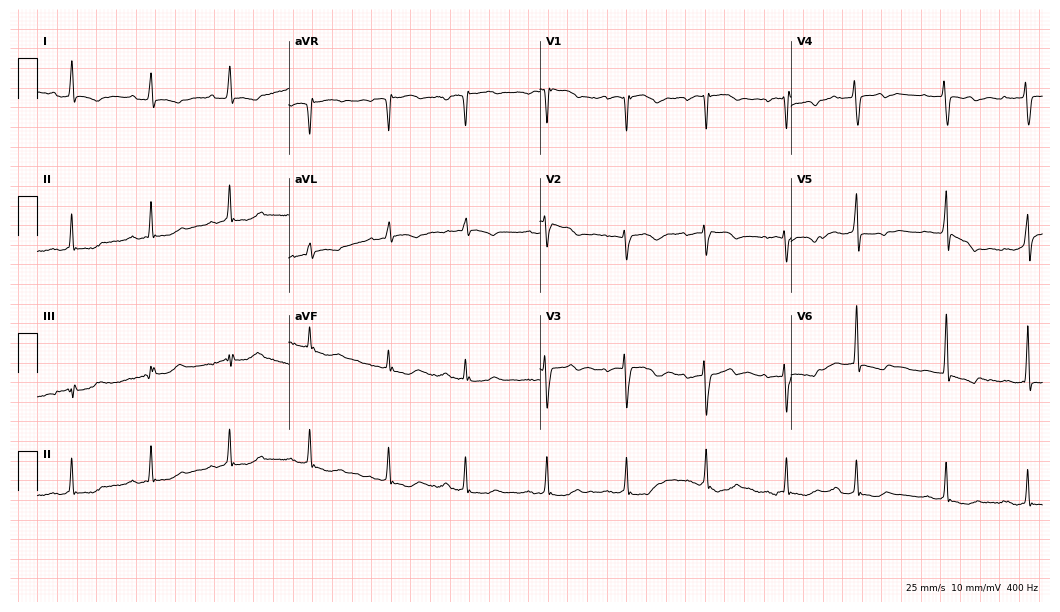
12-lead ECG from a female patient, 80 years old. Screened for six findings — first-degree AV block, right bundle branch block, left bundle branch block, sinus bradycardia, atrial fibrillation, sinus tachycardia — none is recorded. Other findings, if any, are not listed.